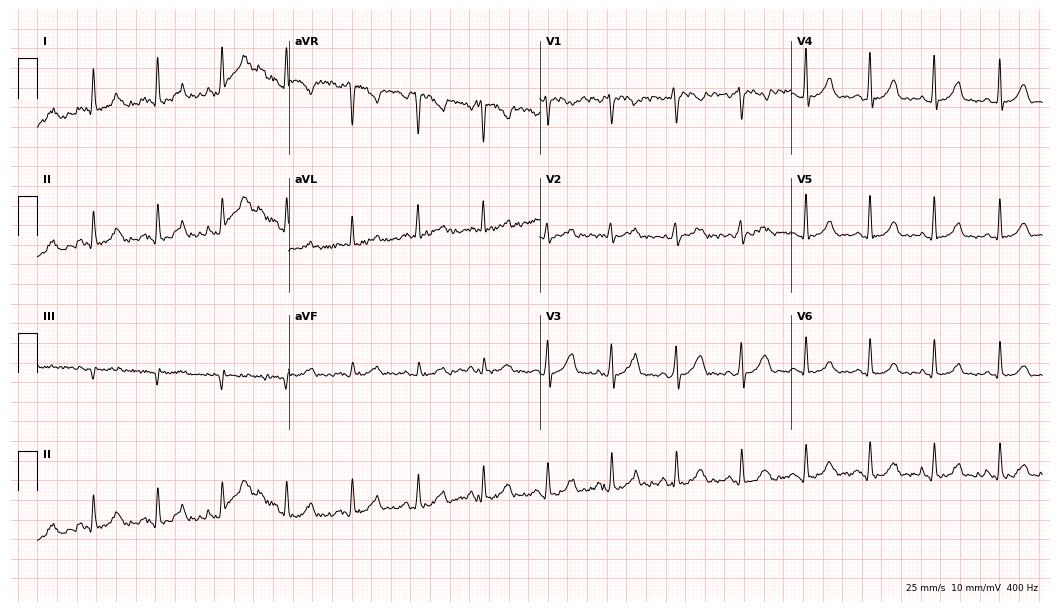
12-lead ECG from a 32-year-old female patient. Labelled as a normal ECG.